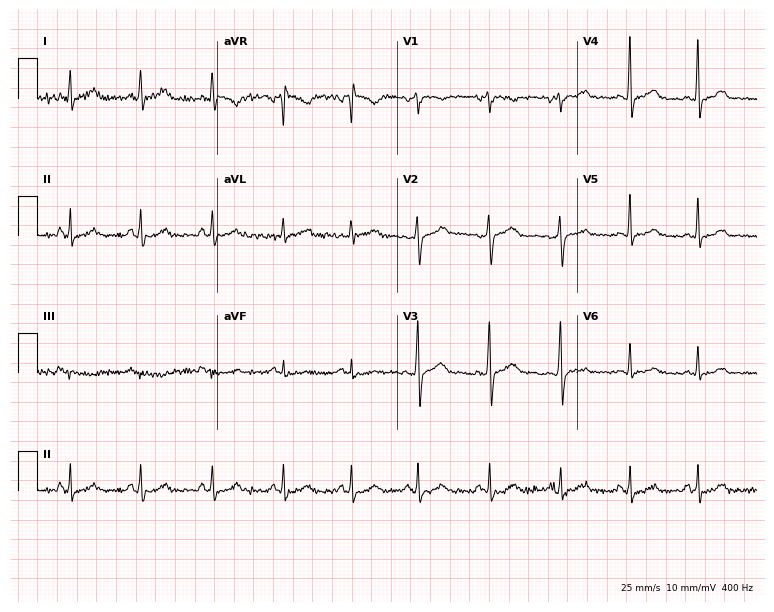
12-lead ECG from a female patient, 40 years old. Recorded interpretation: within normal limits.